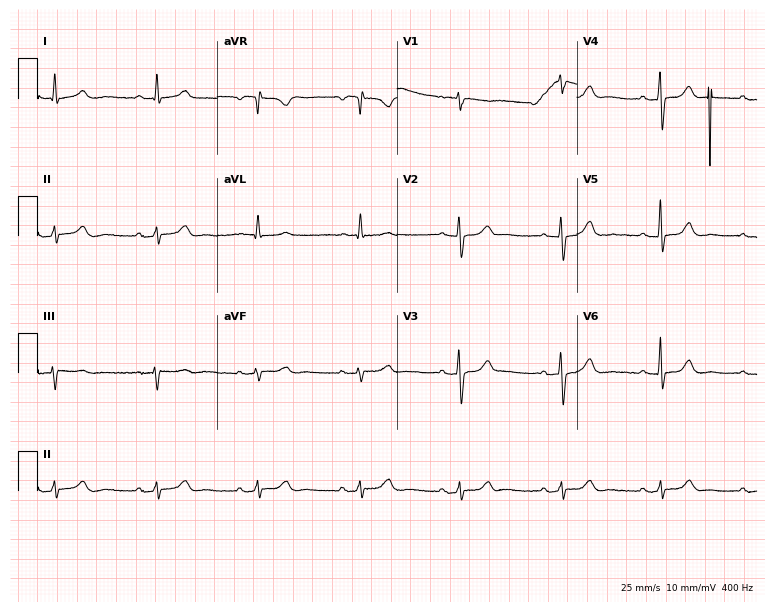
Resting 12-lead electrocardiogram. Patient: a female, 82 years old. None of these six findings is recorded: first-degree AV block, right bundle branch block (RBBB), left bundle branch block (LBBB), sinus bradycardia, atrial fibrillation (AF), sinus tachycardia.